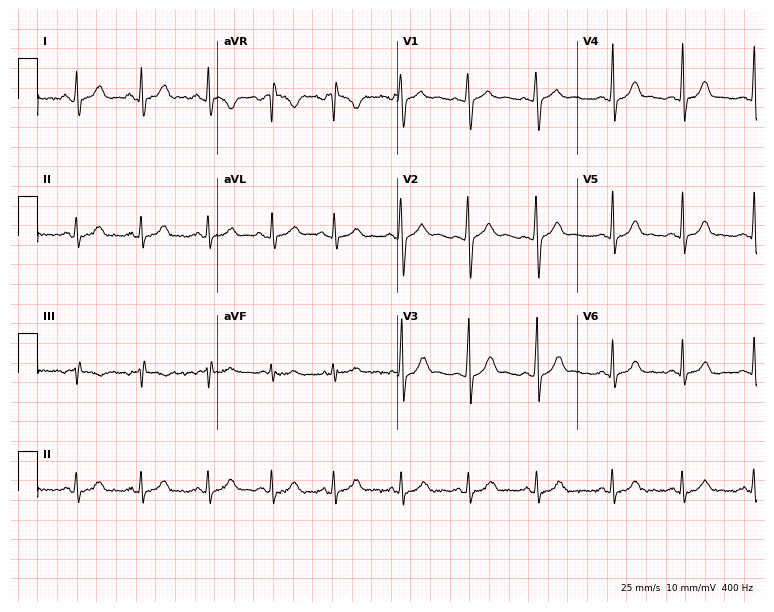
12-lead ECG from a 17-year-old female. No first-degree AV block, right bundle branch block, left bundle branch block, sinus bradycardia, atrial fibrillation or sinus tachycardia recorded for this tracing.